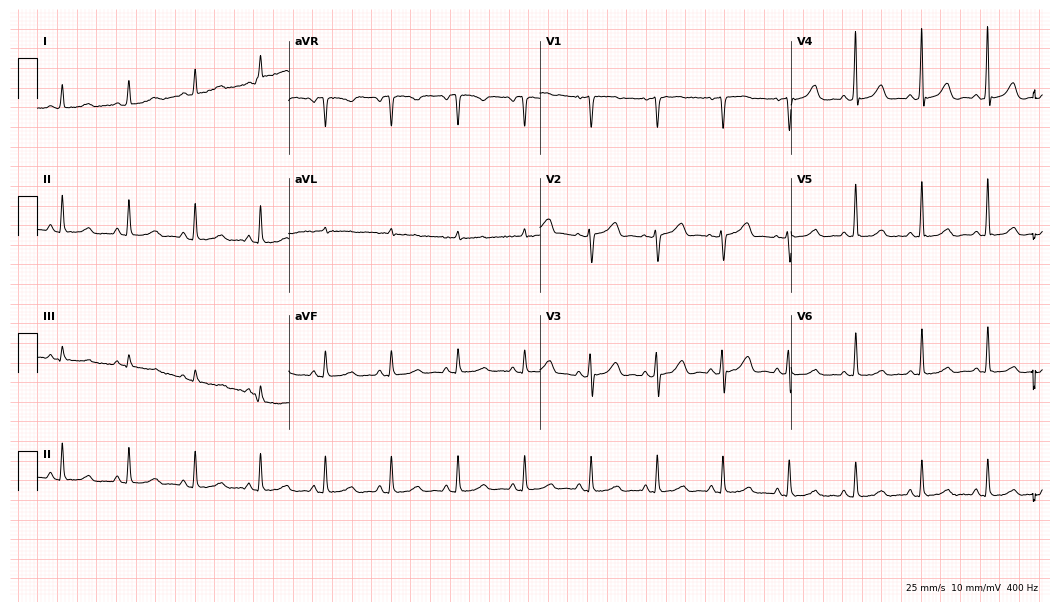
12-lead ECG from a female patient, 61 years old (10.2-second recording at 400 Hz). Recorded interpretation: within normal limits.